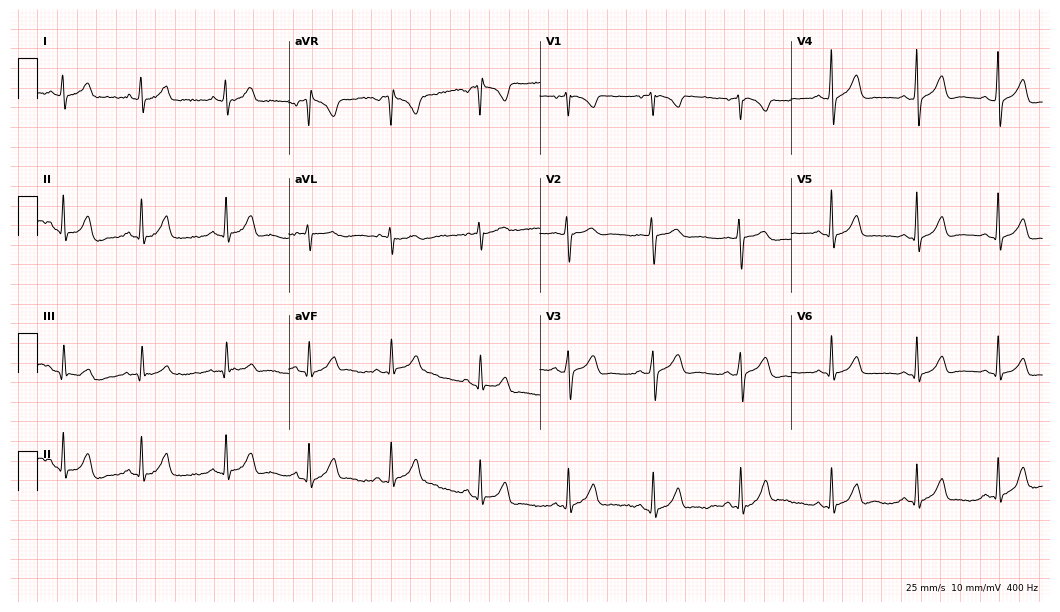
Electrocardiogram (10.2-second recording at 400 Hz), a 30-year-old man. Overall reading on record: normal ECG.